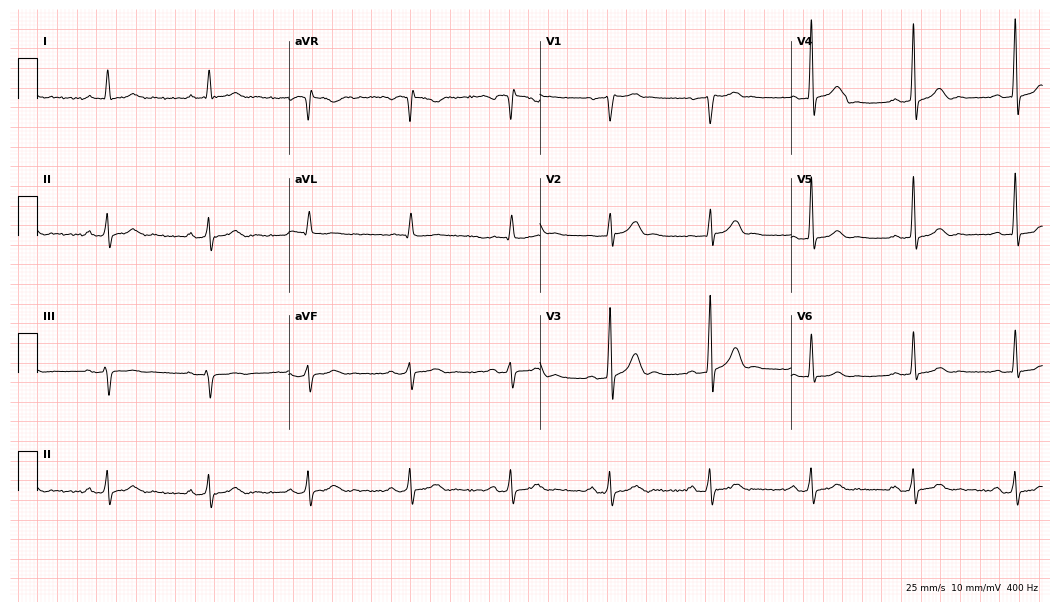
Resting 12-lead electrocardiogram (10.2-second recording at 400 Hz). Patient: a male, 81 years old. Read as a normal ECG.